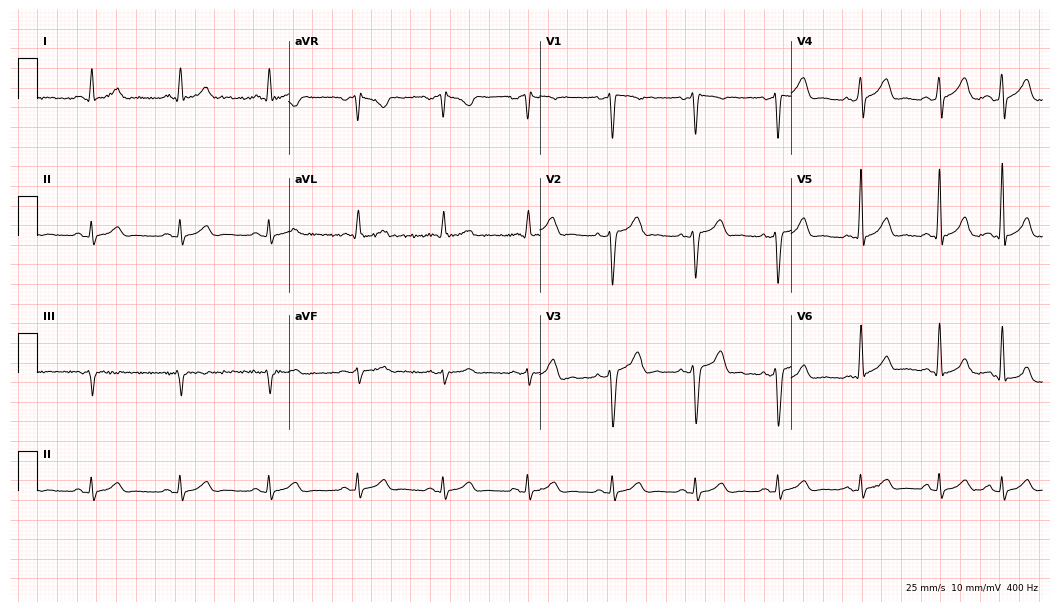
Resting 12-lead electrocardiogram. Patient: a 55-year-old male. Read as a normal ECG.